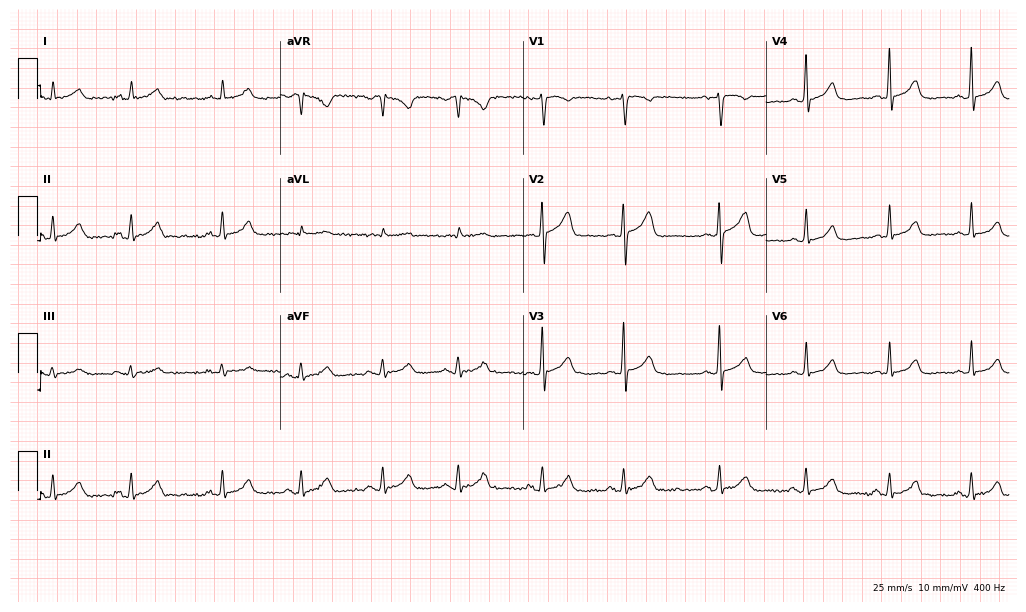
ECG (9.9-second recording at 400 Hz) — a 51-year-old female patient. Labelled as a normal ECG.